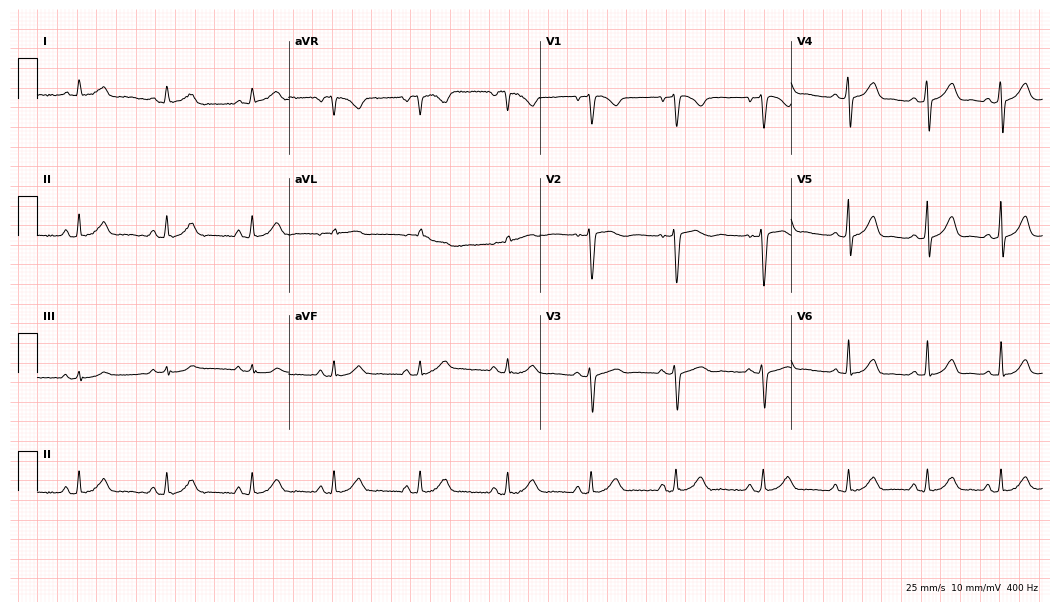
Resting 12-lead electrocardiogram (10.2-second recording at 400 Hz). Patient: a 32-year-old woman. None of these six findings is recorded: first-degree AV block, right bundle branch block, left bundle branch block, sinus bradycardia, atrial fibrillation, sinus tachycardia.